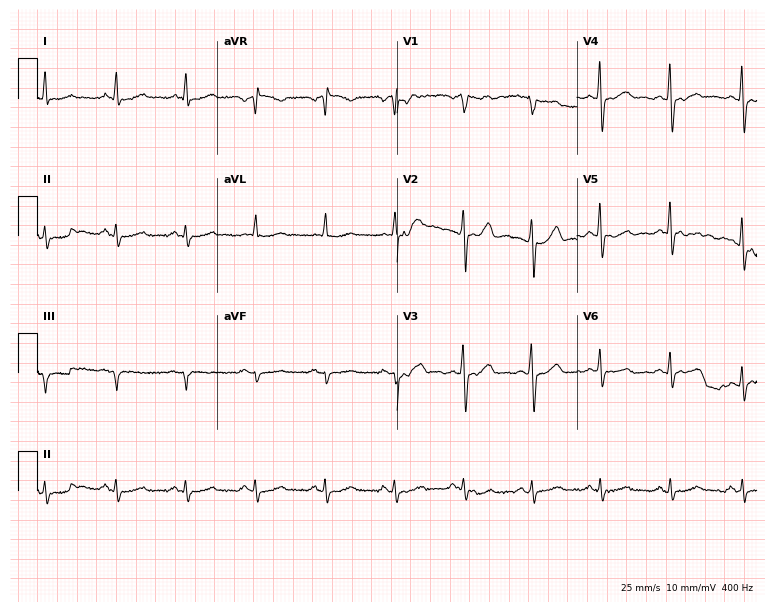
12-lead ECG (7.3-second recording at 400 Hz) from a 52-year-old male. Screened for six findings — first-degree AV block, right bundle branch block, left bundle branch block, sinus bradycardia, atrial fibrillation, sinus tachycardia — none is recorded.